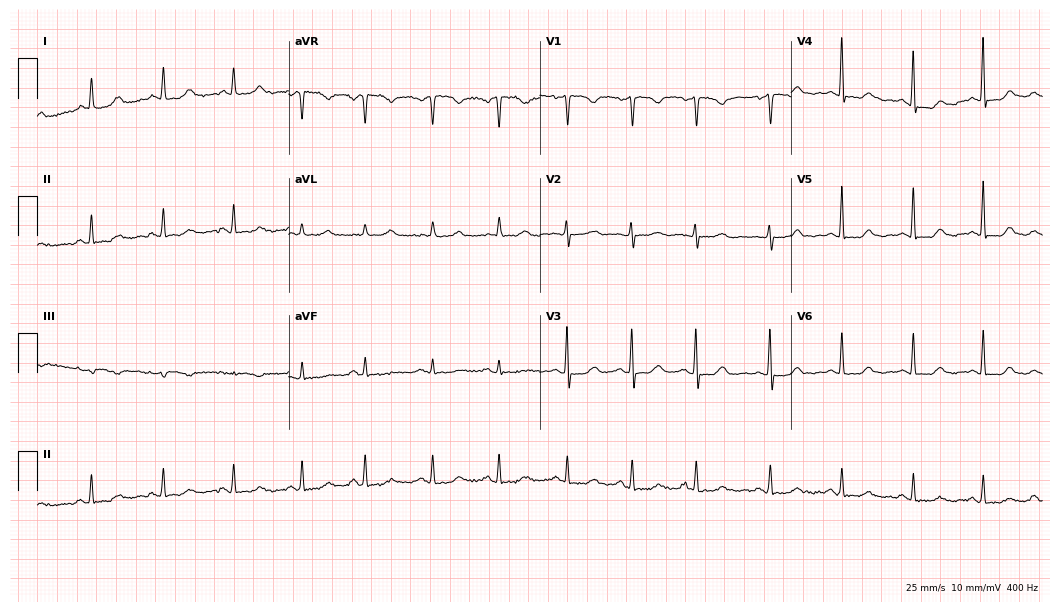
Standard 12-lead ECG recorded from a female, 46 years old. Read as a normal ECG.